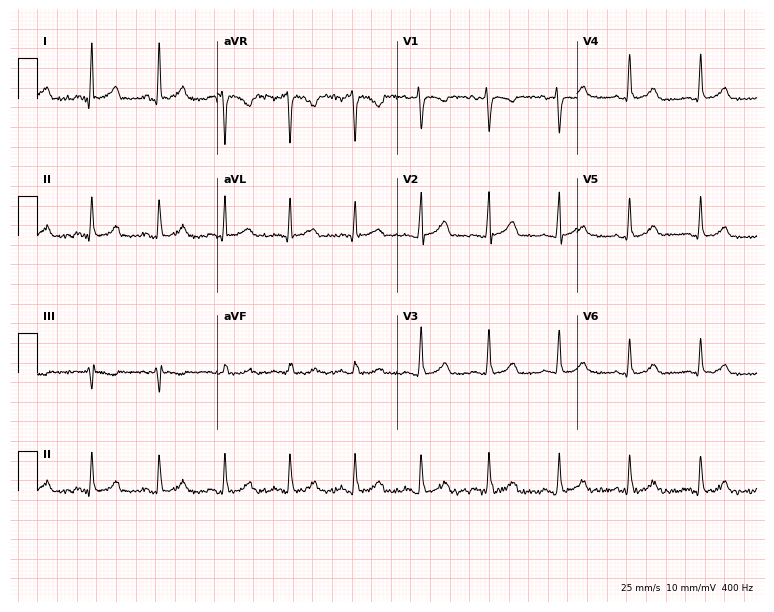
12-lead ECG from a female, 33 years old. Recorded interpretation: within normal limits.